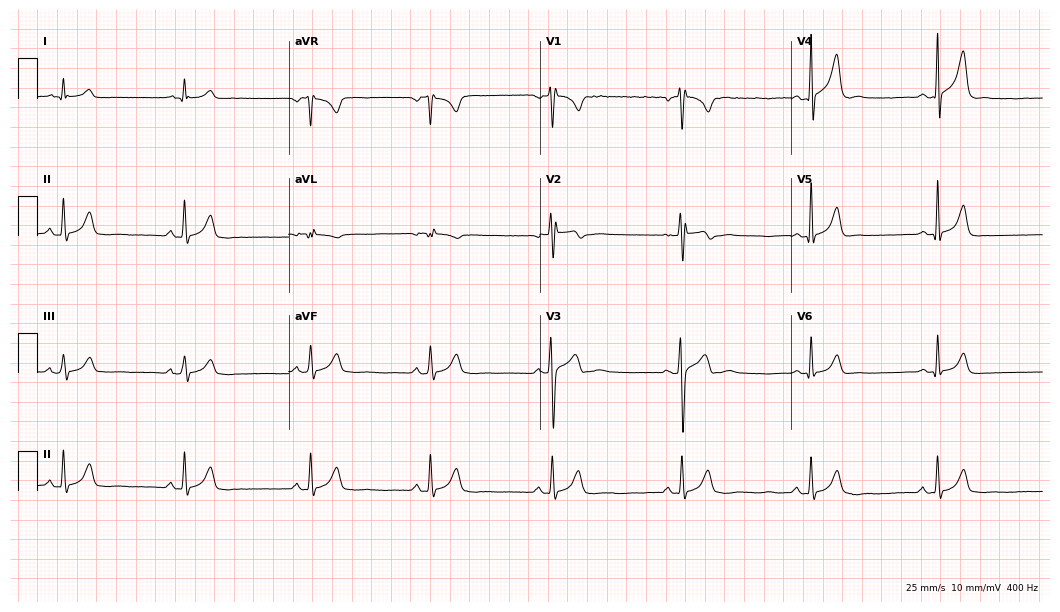
12-lead ECG from a male patient, 20 years old. Findings include sinus bradycardia (a sinus rate of 50 beats per minute or less).